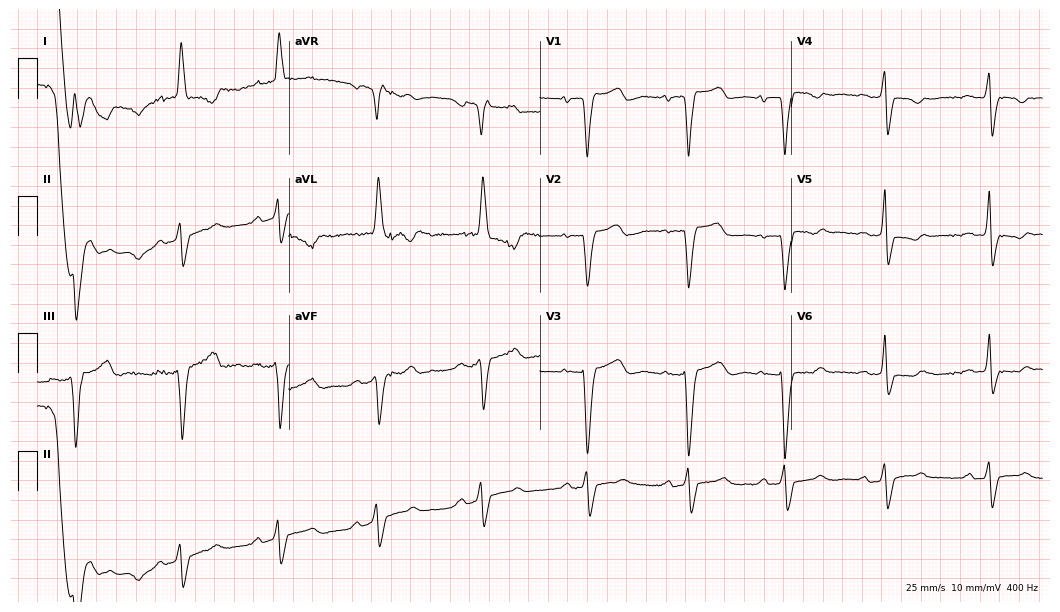
12-lead ECG from a woman, 75 years old. Screened for six findings — first-degree AV block, right bundle branch block, left bundle branch block, sinus bradycardia, atrial fibrillation, sinus tachycardia — none is recorded. Only these six findings were labelled.